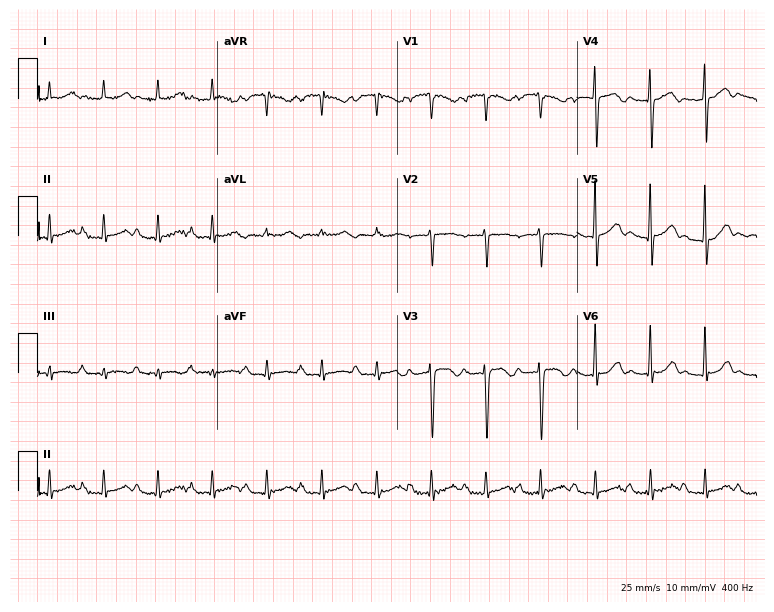
Resting 12-lead electrocardiogram. Patient: a 78-year-old man. The tracing shows sinus tachycardia (a sinus rate of 100 beats per minute or more).